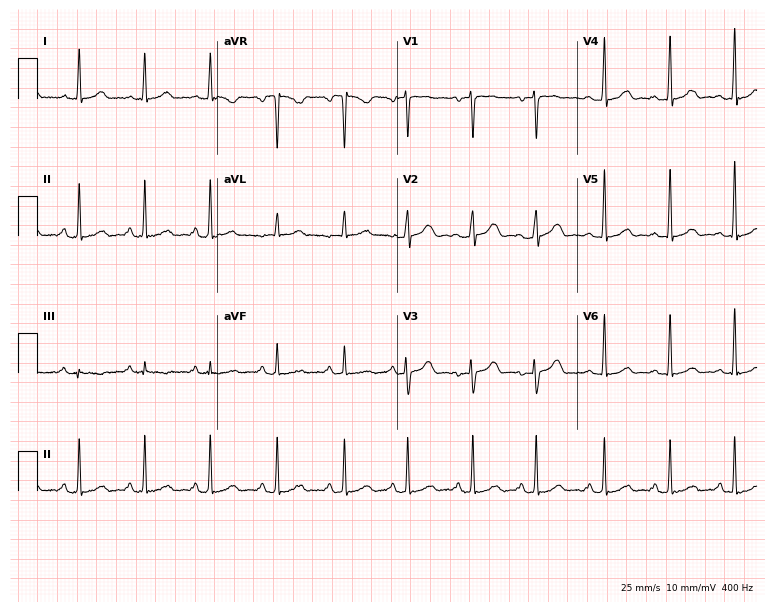
12-lead ECG (7.3-second recording at 400 Hz) from a 46-year-old female patient. Labelled as a normal ECG.